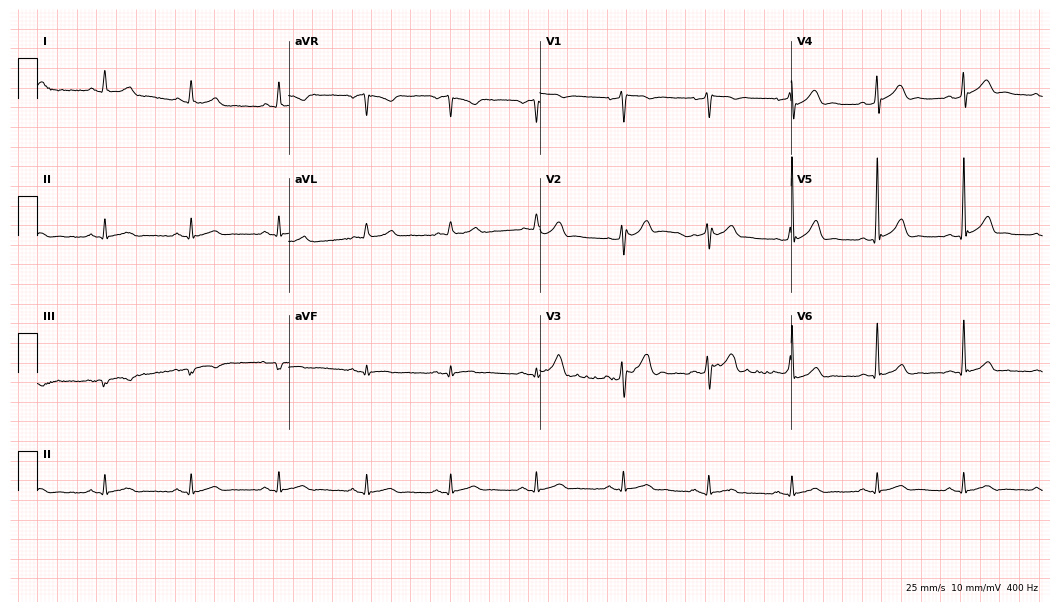
Resting 12-lead electrocardiogram. Patient: a 53-year-old male. None of these six findings is recorded: first-degree AV block, right bundle branch block, left bundle branch block, sinus bradycardia, atrial fibrillation, sinus tachycardia. Other findings, if any, are not listed.